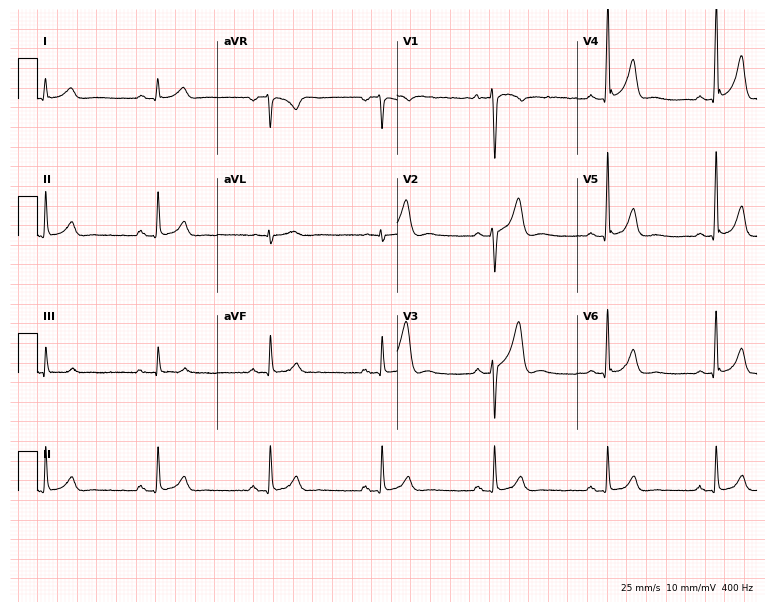
Standard 12-lead ECG recorded from a 43-year-old male patient (7.3-second recording at 400 Hz). None of these six findings is recorded: first-degree AV block, right bundle branch block (RBBB), left bundle branch block (LBBB), sinus bradycardia, atrial fibrillation (AF), sinus tachycardia. Findings outside these six are not listed.